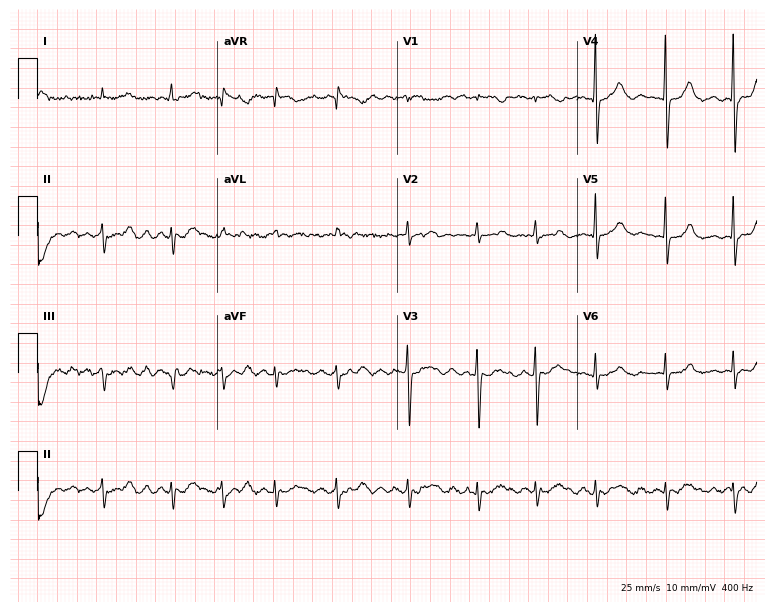
Resting 12-lead electrocardiogram (7.3-second recording at 400 Hz). Patient: an 82-year-old woman. The tracing shows atrial fibrillation.